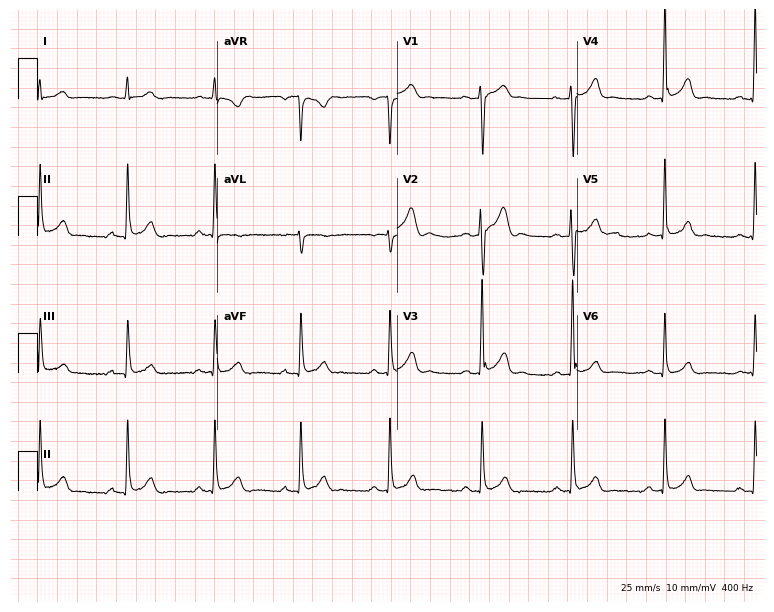
ECG — a 30-year-old man. Screened for six findings — first-degree AV block, right bundle branch block (RBBB), left bundle branch block (LBBB), sinus bradycardia, atrial fibrillation (AF), sinus tachycardia — none is recorded. Findings outside these six are not listed.